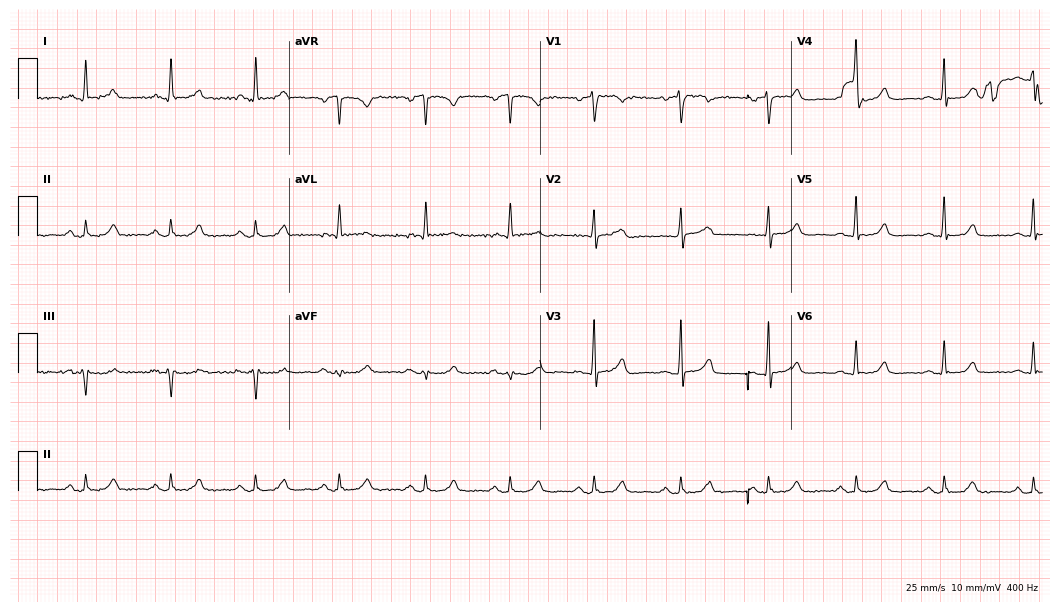
12-lead ECG from a 56-year-old female patient (10.2-second recording at 400 Hz). Recorded interpretation: within normal limits.